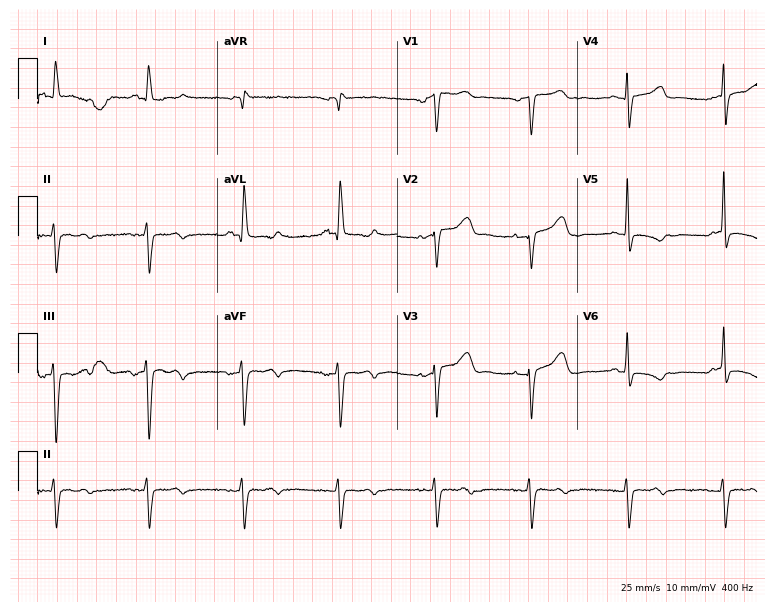
Standard 12-lead ECG recorded from a 75-year-old female patient. None of these six findings is recorded: first-degree AV block, right bundle branch block (RBBB), left bundle branch block (LBBB), sinus bradycardia, atrial fibrillation (AF), sinus tachycardia.